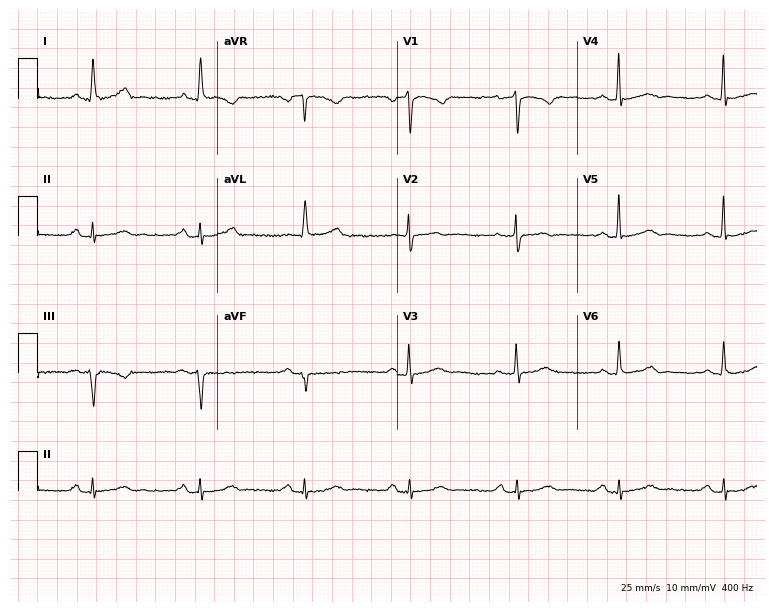
ECG — a 59-year-old woman. Labelled as a normal ECG.